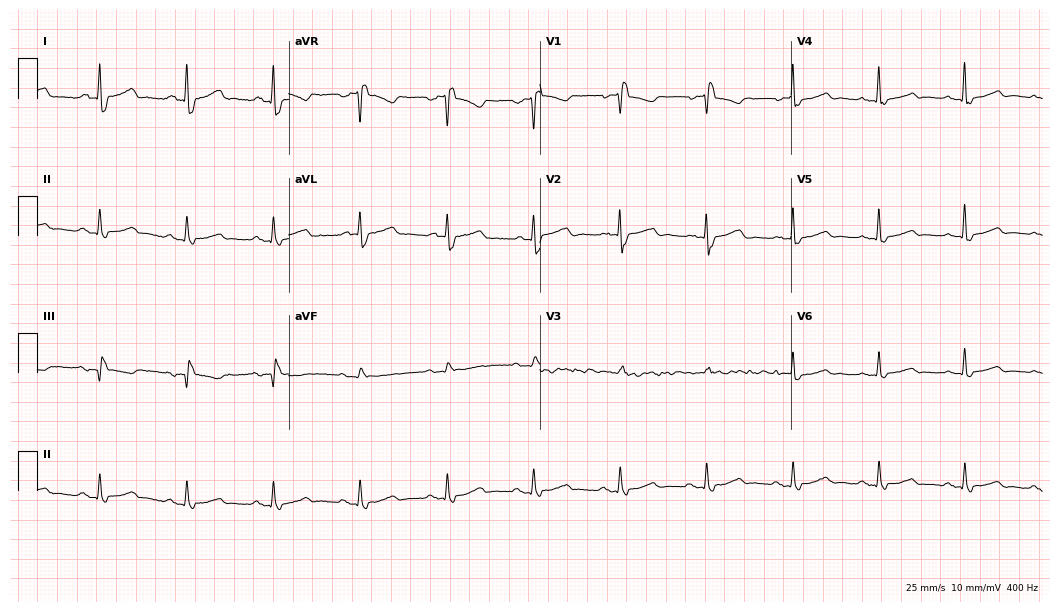
Resting 12-lead electrocardiogram (10.2-second recording at 400 Hz). Patient: a woman, 83 years old. The tracing shows right bundle branch block.